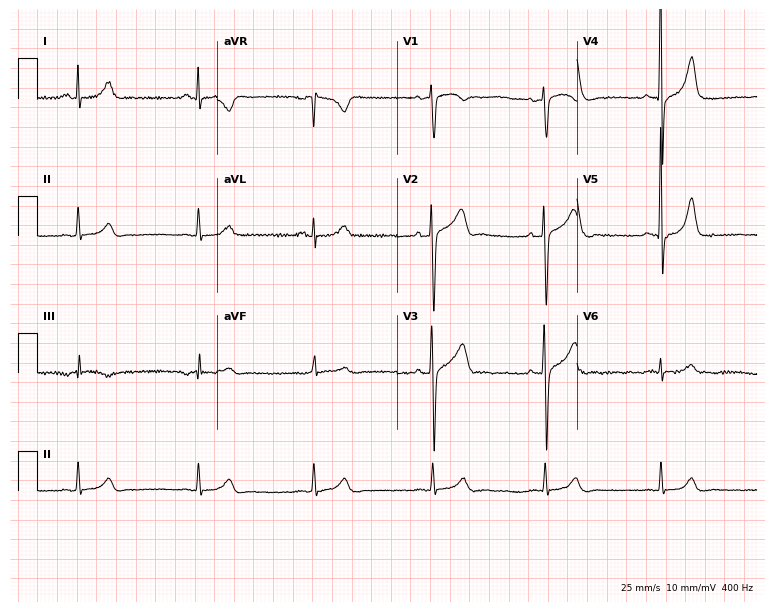
Resting 12-lead electrocardiogram (7.3-second recording at 400 Hz). Patient: a male, 46 years old. Read as a normal ECG.